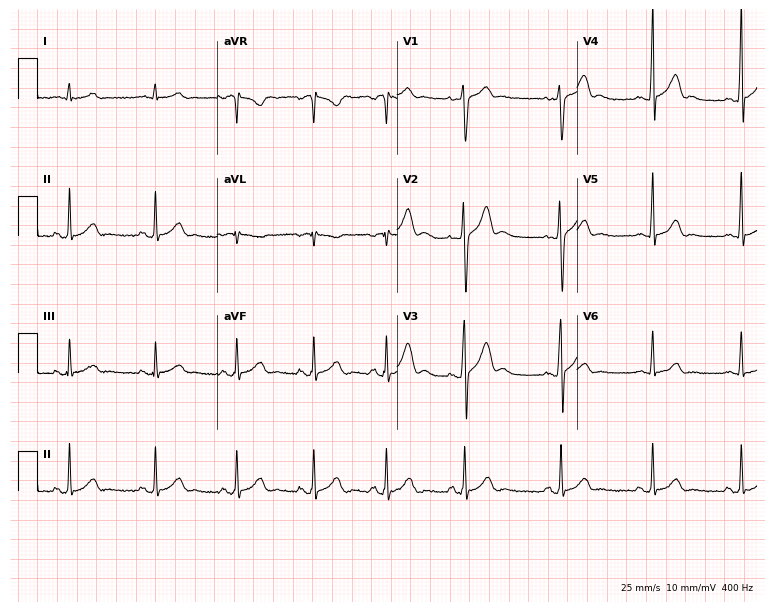
12-lead ECG from a 21-year-old male patient (7.3-second recording at 400 Hz). Recorded interpretation: within normal limits.